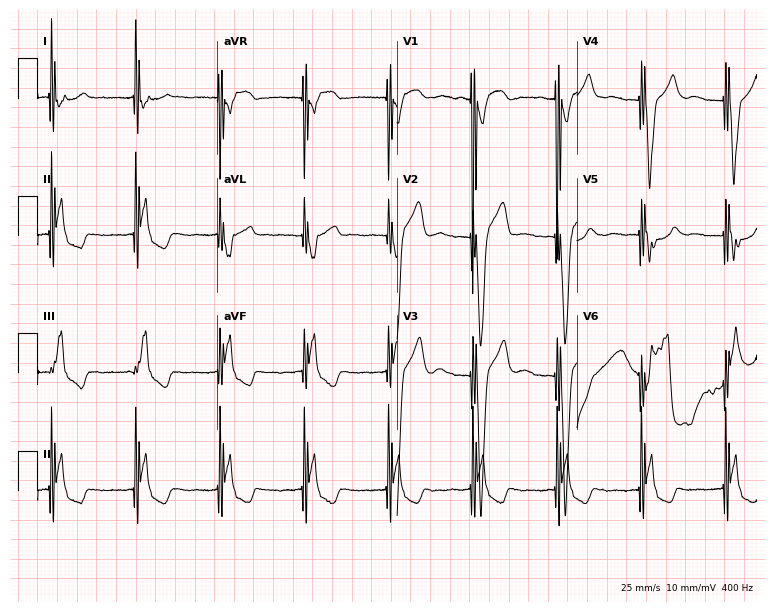
Resting 12-lead electrocardiogram (7.3-second recording at 400 Hz). Patient: a 75-year-old male. None of these six findings is recorded: first-degree AV block, right bundle branch block, left bundle branch block, sinus bradycardia, atrial fibrillation, sinus tachycardia. Findings outside these six are not listed.